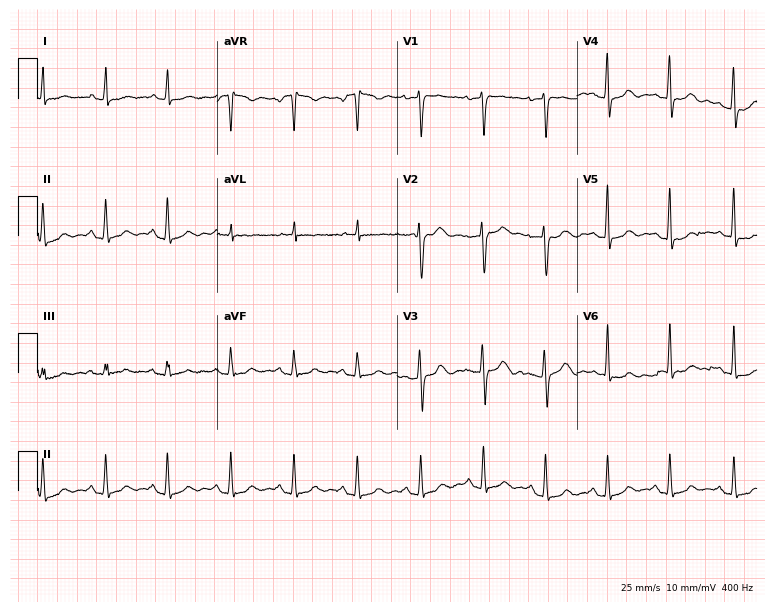
Resting 12-lead electrocardiogram. Patient: a woman, 50 years old. None of these six findings is recorded: first-degree AV block, right bundle branch block (RBBB), left bundle branch block (LBBB), sinus bradycardia, atrial fibrillation (AF), sinus tachycardia.